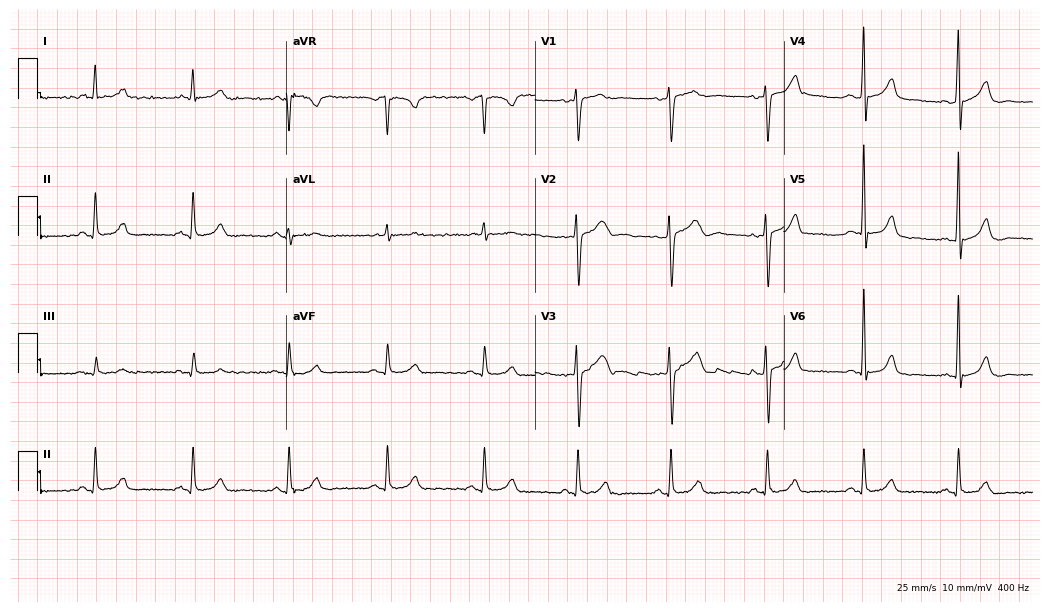
ECG — a 41-year-old male. Labelled as a normal ECG.